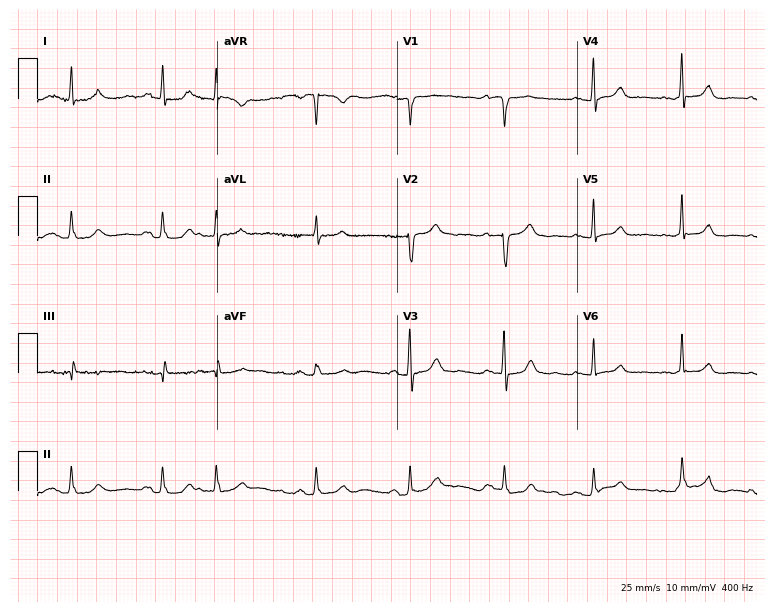
12-lead ECG (7.3-second recording at 400 Hz) from a 68-year-old female patient. Screened for six findings — first-degree AV block, right bundle branch block (RBBB), left bundle branch block (LBBB), sinus bradycardia, atrial fibrillation (AF), sinus tachycardia — none is recorded.